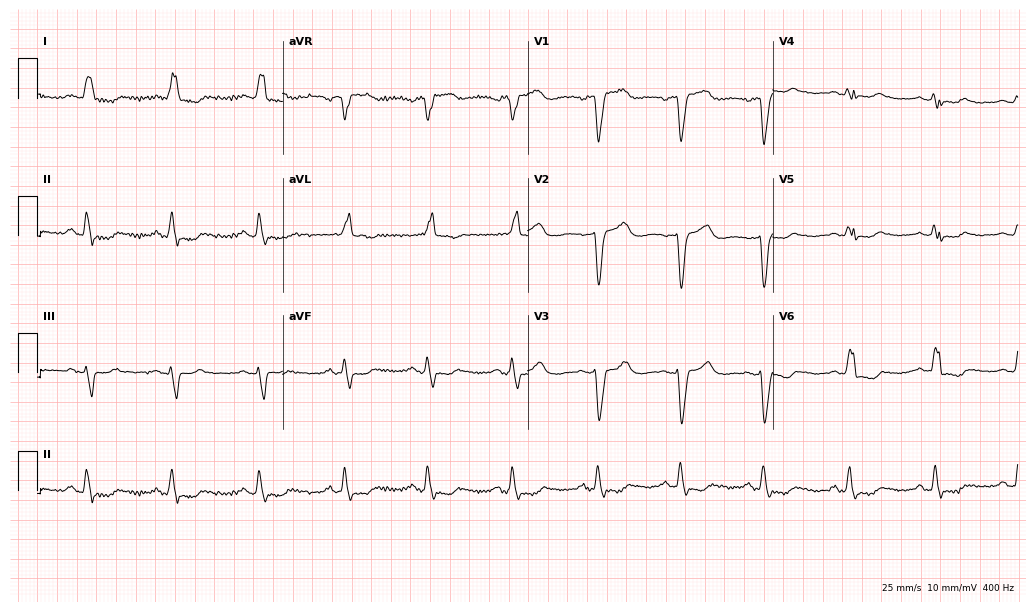
ECG (10-second recording at 400 Hz) — a woman, 83 years old. Findings include left bundle branch block.